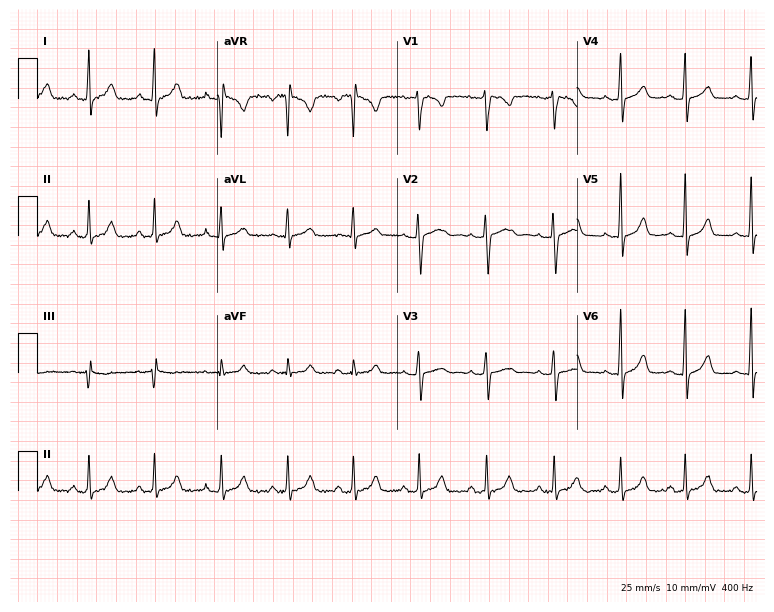
12-lead ECG from a 20-year-old woman. Recorded interpretation: within normal limits.